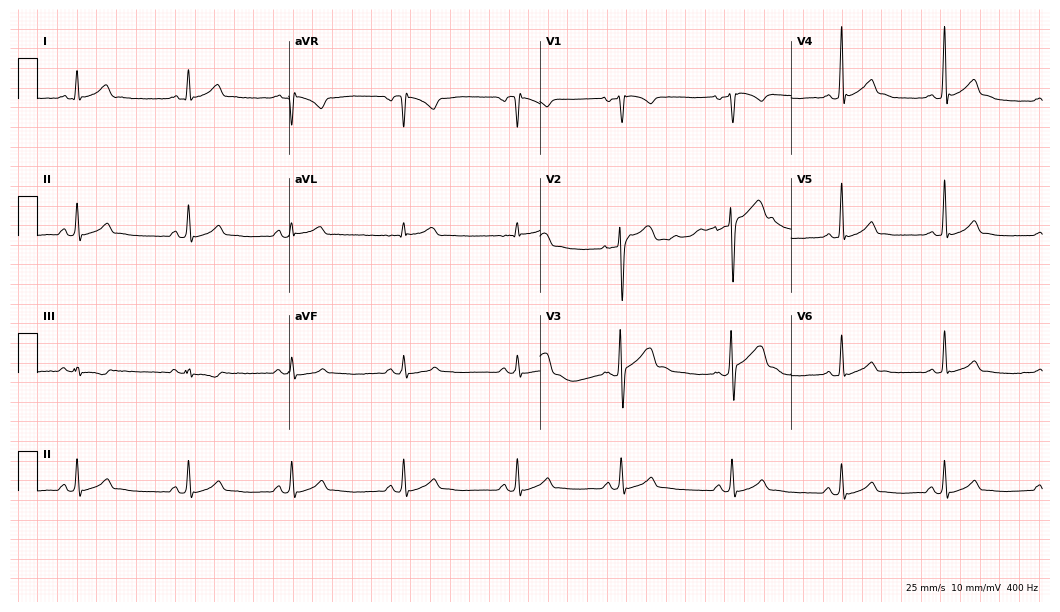
ECG — a 28-year-old male patient. Labelled as a normal ECG.